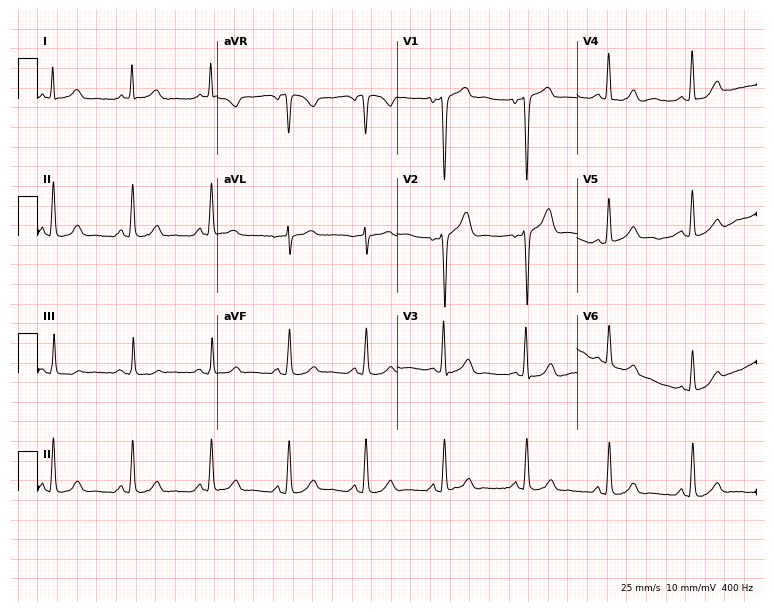
12-lead ECG from a 41-year-old male. Screened for six findings — first-degree AV block, right bundle branch block, left bundle branch block, sinus bradycardia, atrial fibrillation, sinus tachycardia — none is recorded.